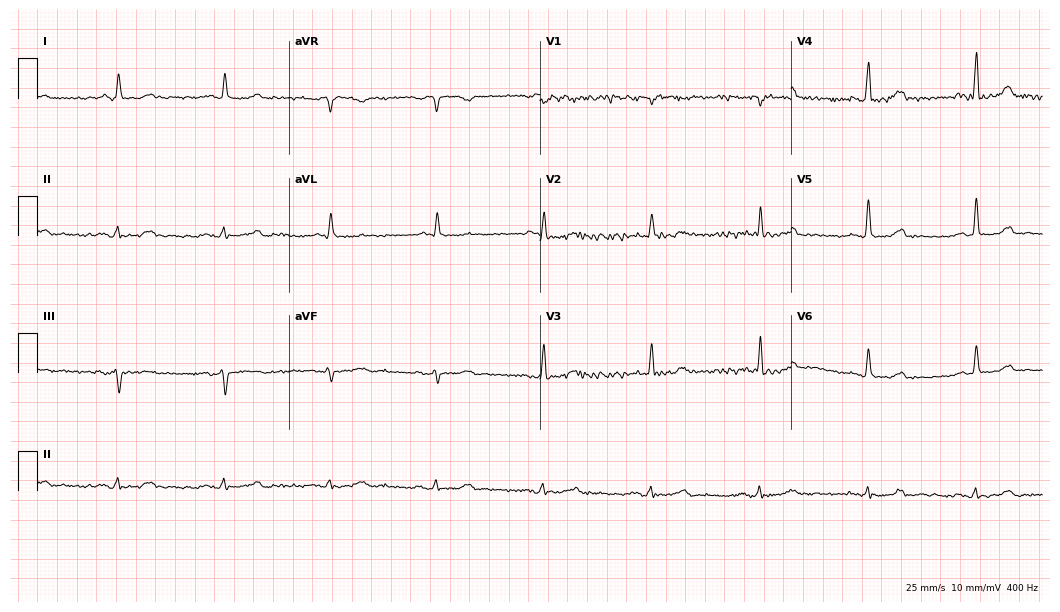
12-lead ECG from an 85-year-old male. Recorded interpretation: within normal limits.